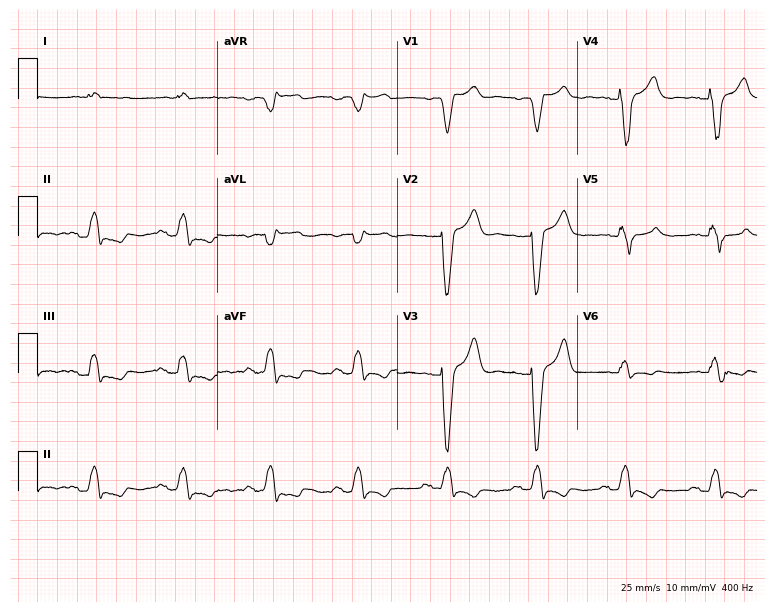
Resting 12-lead electrocardiogram. Patient: a 70-year-old male. The tracing shows left bundle branch block.